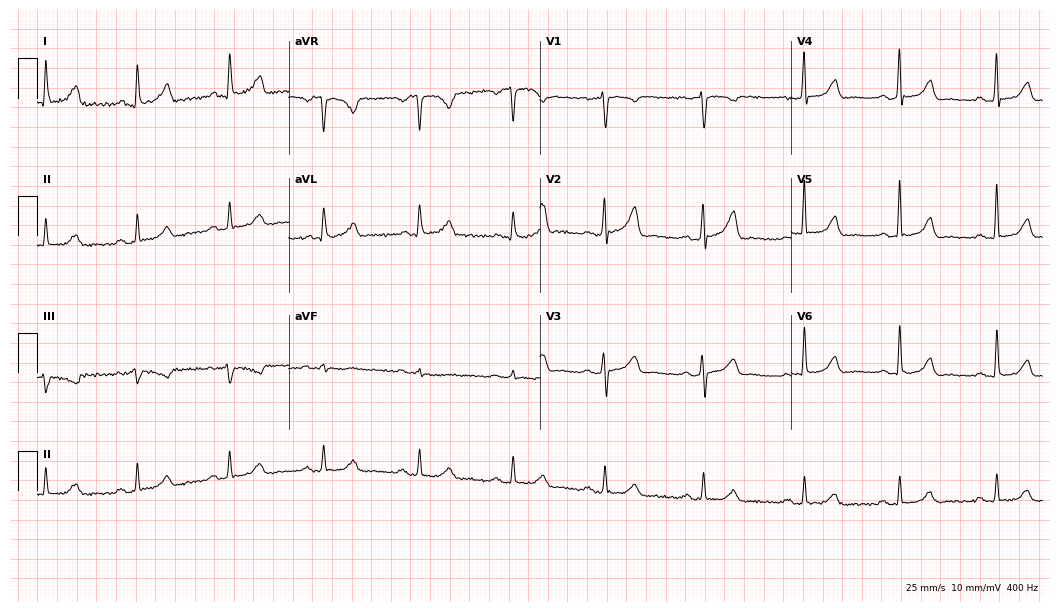
12-lead ECG from a 42-year-old female. Recorded interpretation: within normal limits.